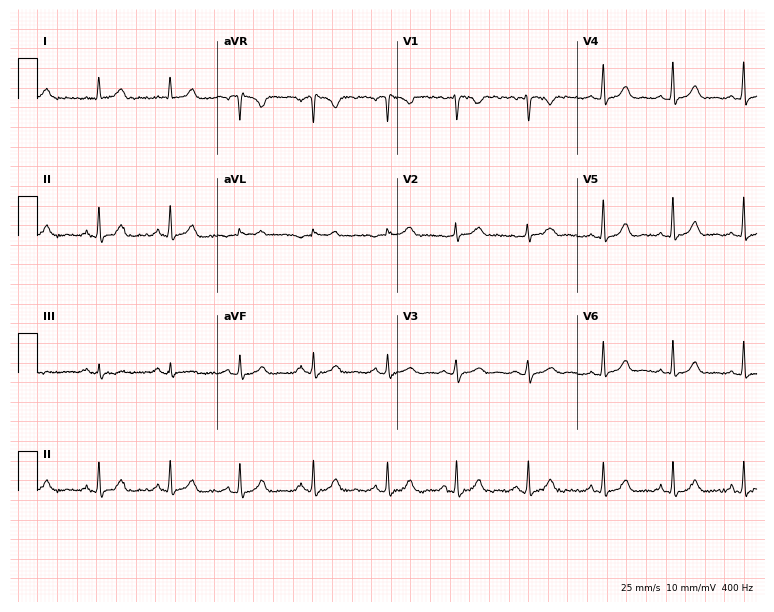
Resting 12-lead electrocardiogram (7.3-second recording at 400 Hz). Patient: a female, 25 years old. Read as a normal ECG.